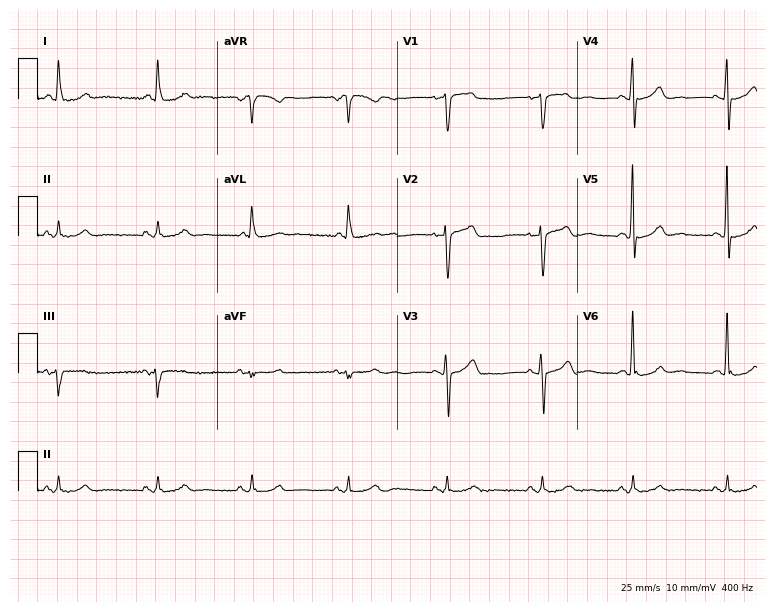
12-lead ECG (7.3-second recording at 400 Hz) from a male, 70 years old. Labelled as a normal ECG.